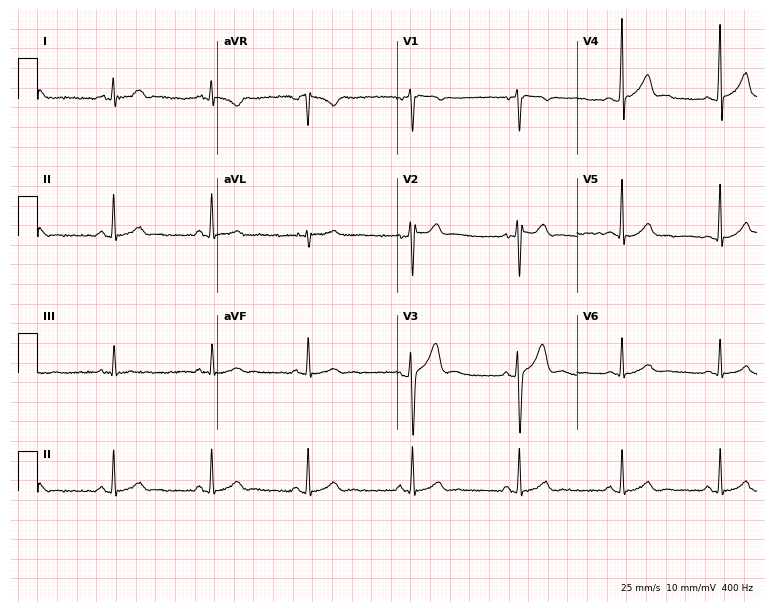
Standard 12-lead ECG recorded from a male, 24 years old. Read as a normal ECG.